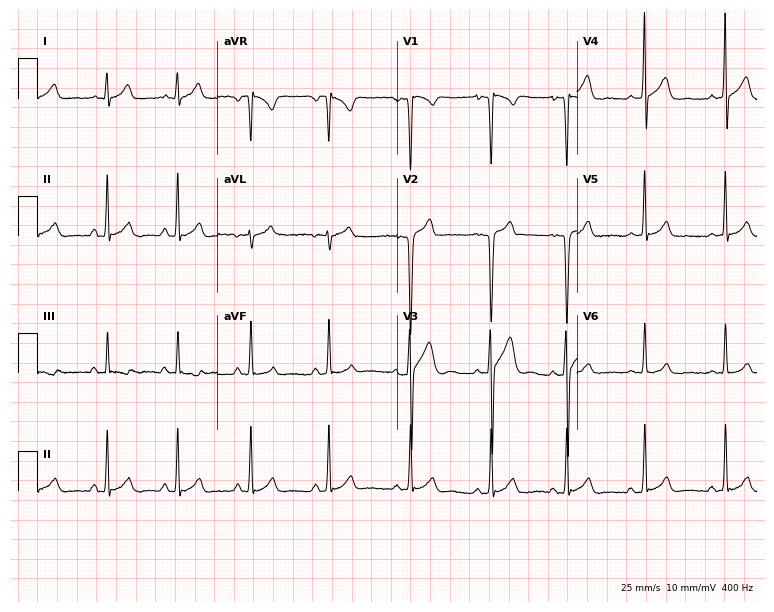
12-lead ECG (7.3-second recording at 400 Hz) from a male patient, 17 years old. Screened for six findings — first-degree AV block, right bundle branch block, left bundle branch block, sinus bradycardia, atrial fibrillation, sinus tachycardia — none is recorded. Other findings, if any, are not listed.